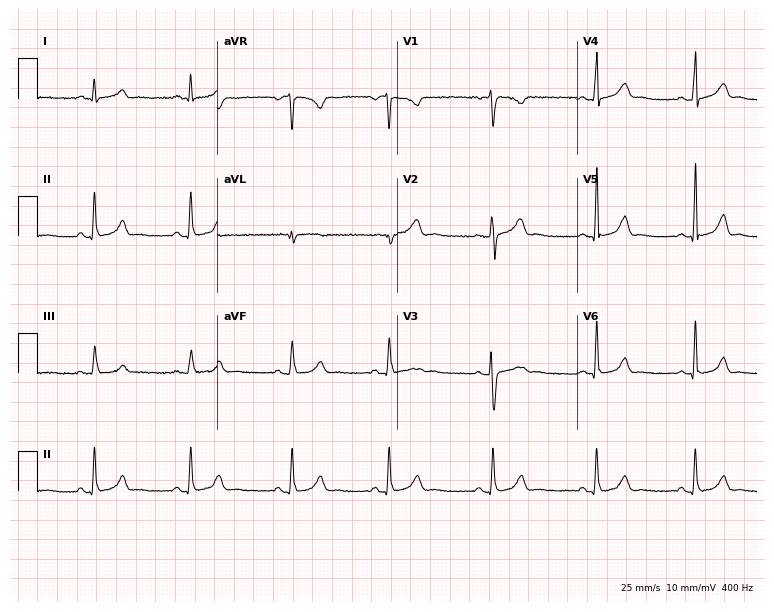
Resting 12-lead electrocardiogram (7.3-second recording at 400 Hz). Patient: a 39-year-old female. Read as a normal ECG.